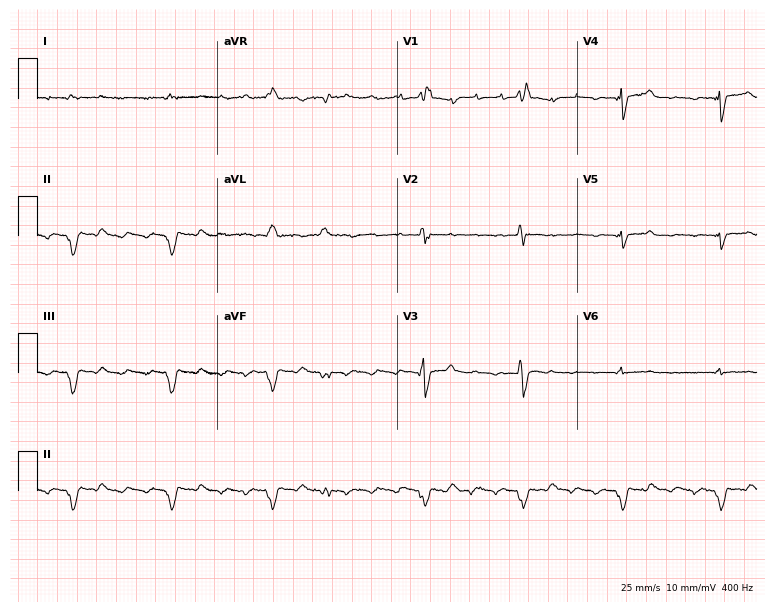
Resting 12-lead electrocardiogram (7.3-second recording at 400 Hz). Patient: a 76-year-old male. The tracing shows right bundle branch block.